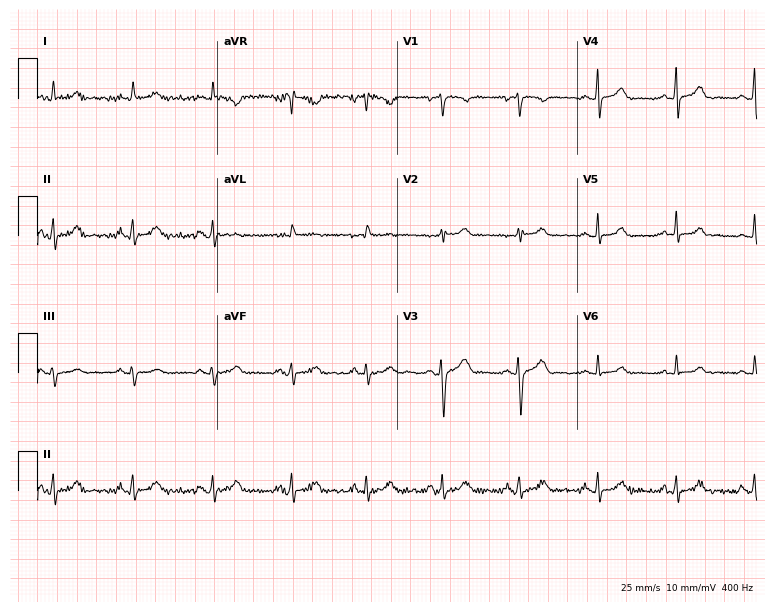
Resting 12-lead electrocardiogram (7.3-second recording at 400 Hz). Patient: a female, 29 years old. Read as a normal ECG.